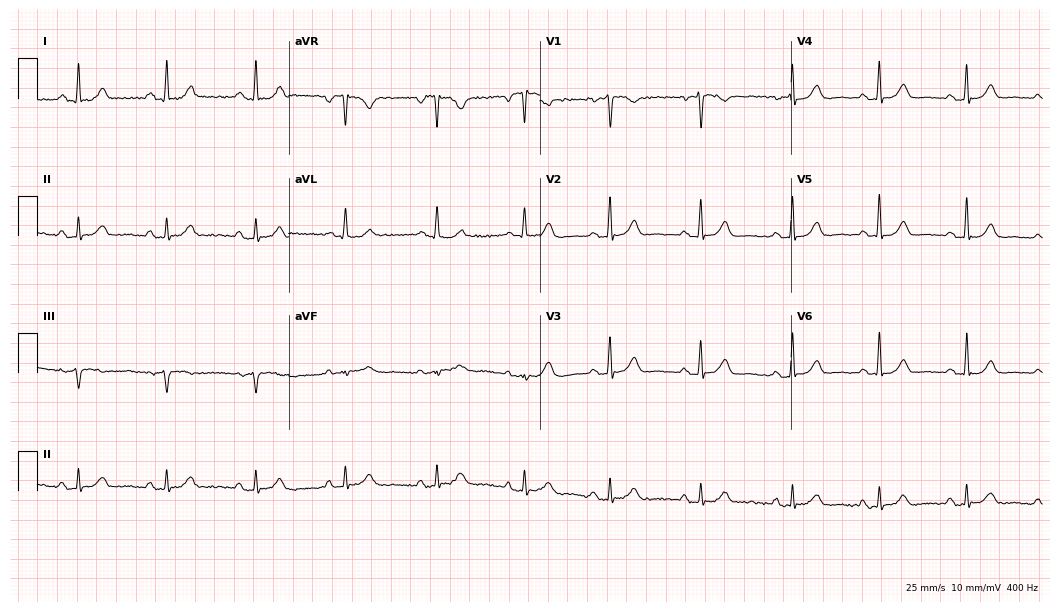
12-lead ECG from a female patient, 57 years old (10.2-second recording at 400 Hz). Recorded interpretation: within normal limits.